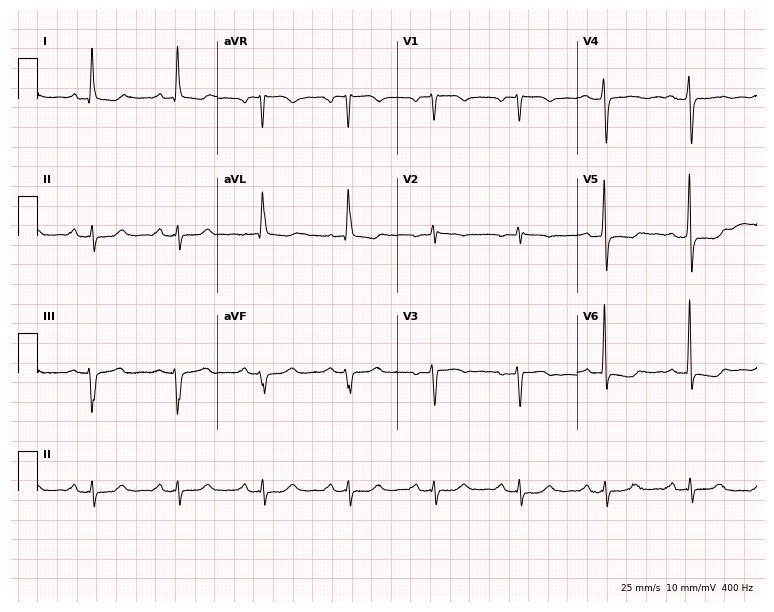
12-lead ECG (7.3-second recording at 400 Hz) from a 67-year-old female. Screened for six findings — first-degree AV block, right bundle branch block, left bundle branch block, sinus bradycardia, atrial fibrillation, sinus tachycardia — none is recorded.